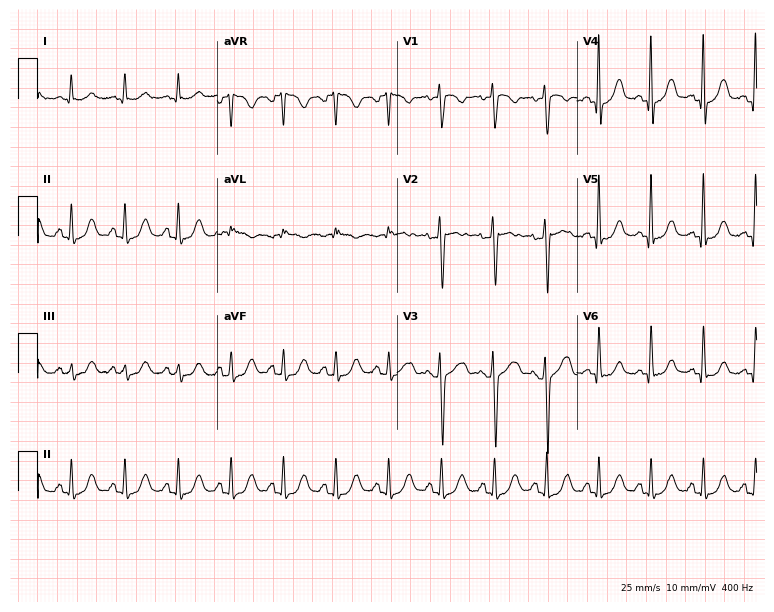
12-lead ECG from a 53-year-old woman. Findings include sinus tachycardia (a sinus rate of 100 beats per minute or more).